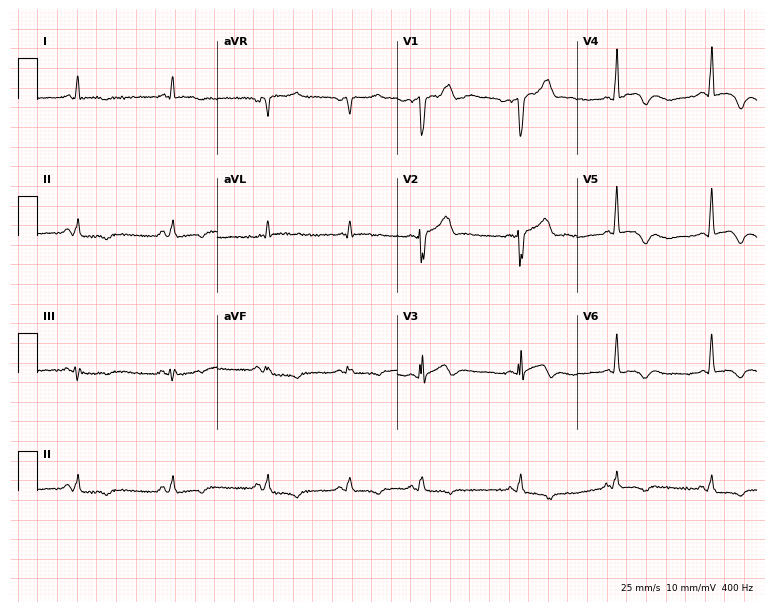
Standard 12-lead ECG recorded from a male, 69 years old (7.3-second recording at 400 Hz). None of these six findings is recorded: first-degree AV block, right bundle branch block, left bundle branch block, sinus bradycardia, atrial fibrillation, sinus tachycardia.